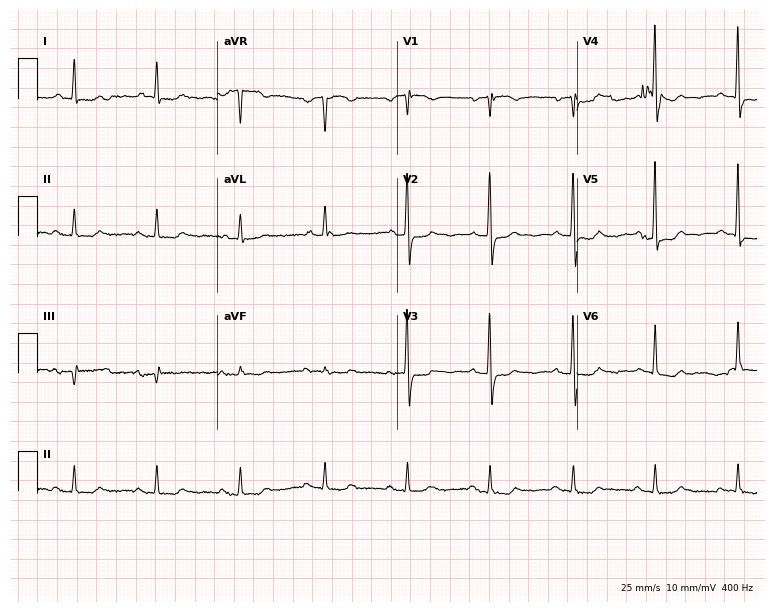
Standard 12-lead ECG recorded from a woman, 81 years old (7.3-second recording at 400 Hz). None of these six findings is recorded: first-degree AV block, right bundle branch block (RBBB), left bundle branch block (LBBB), sinus bradycardia, atrial fibrillation (AF), sinus tachycardia.